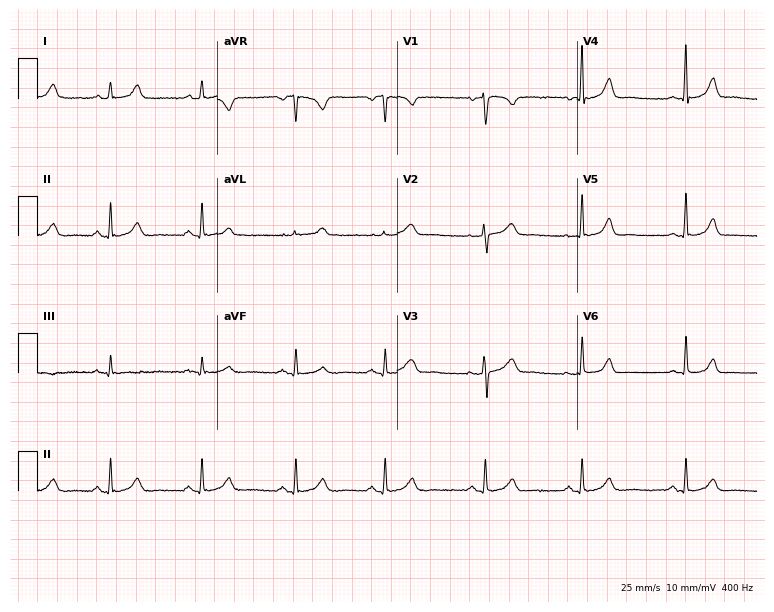
Electrocardiogram (7.3-second recording at 400 Hz), a 25-year-old female. Of the six screened findings (first-degree AV block, right bundle branch block, left bundle branch block, sinus bradycardia, atrial fibrillation, sinus tachycardia), none is recorded.